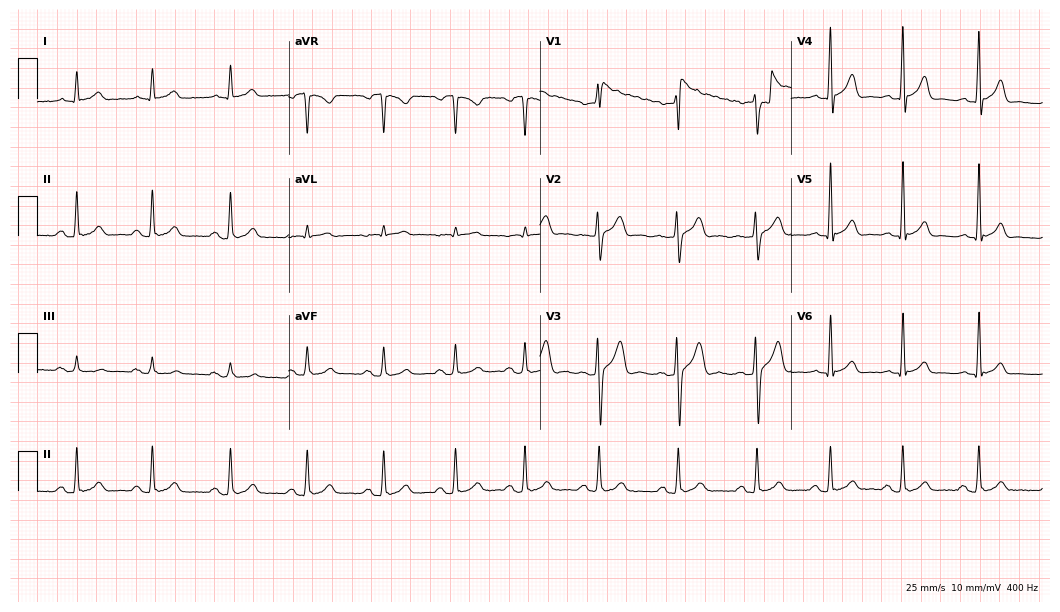
Resting 12-lead electrocardiogram. Patient: a man, 35 years old. Read as a normal ECG.